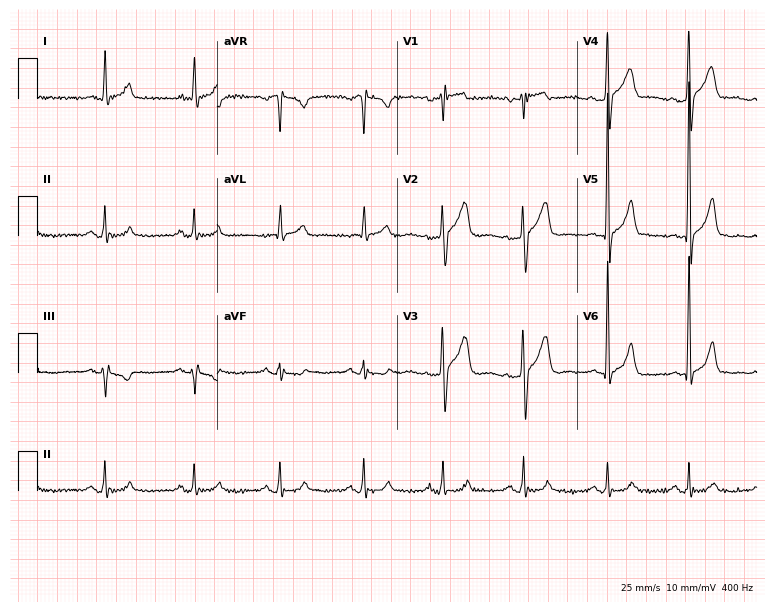
Resting 12-lead electrocardiogram (7.3-second recording at 400 Hz). Patient: a 70-year-old male. None of these six findings is recorded: first-degree AV block, right bundle branch block, left bundle branch block, sinus bradycardia, atrial fibrillation, sinus tachycardia.